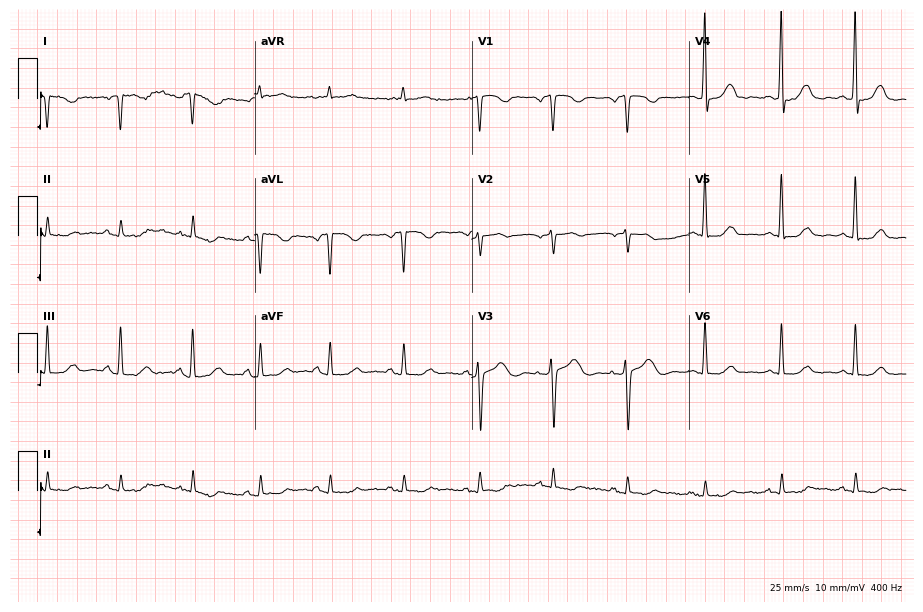
Resting 12-lead electrocardiogram (8.9-second recording at 400 Hz). Patient: a female, 44 years old. None of these six findings is recorded: first-degree AV block, right bundle branch block (RBBB), left bundle branch block (LBBB), sinus bradycardia, atrial fibrillation (AF), sinus tachycardia.